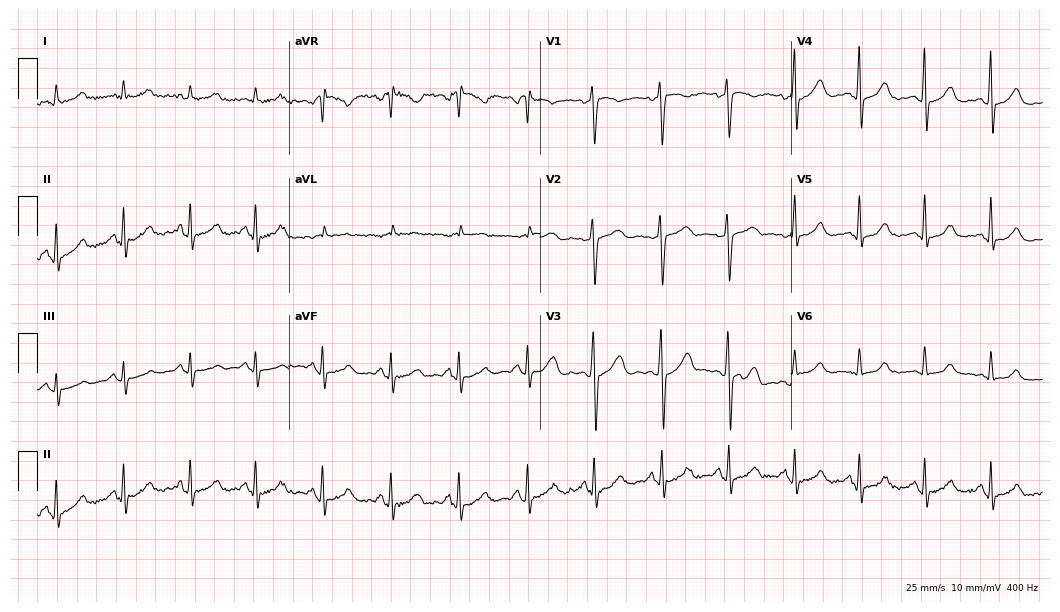
ECG (10.2-second recording at 400 Hz) — a male patient, 48 years old. Labelled as a normal ECG.